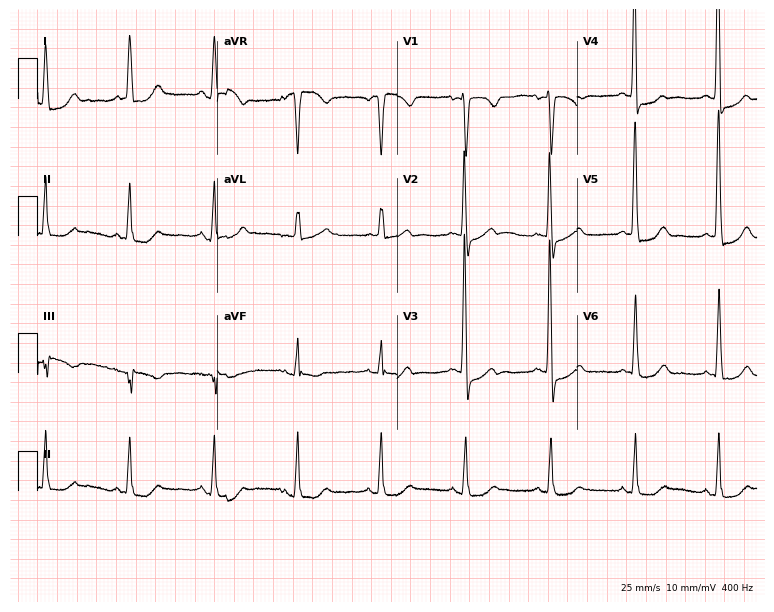
Electrocardiogram, a female patient, 51 years old. Overall reading on record: normal ECG.